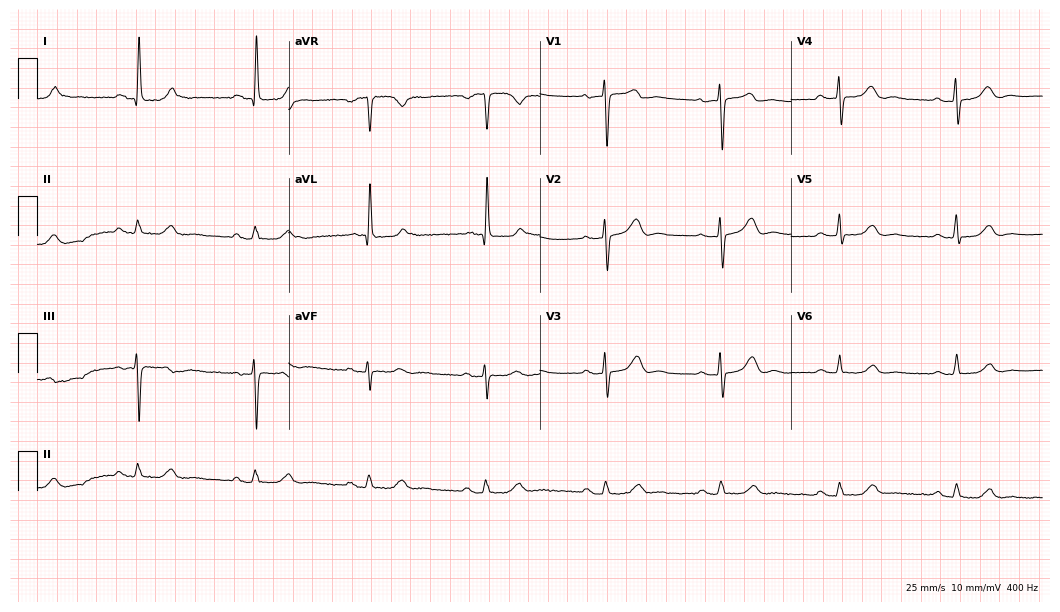
Electrocardiogram (10.2-second recording at 400 Hz), a 63-year-old woman. Overall reading on record: normal ECG.